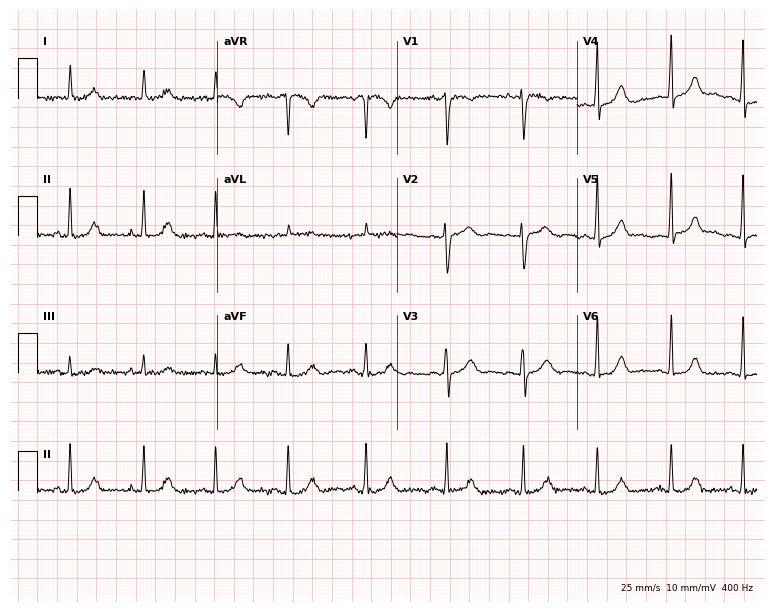
Electrocardiogram (7.3-second recording at 400 Hz), a 32-year-old woman. Of the six screened findings (first-degree AV block, right bundle branch block (RBBB), left bundle branch block (LBBB), sinus bradycardia, atrial fibrillation (AF), sinus tachycardia), none is recorded.